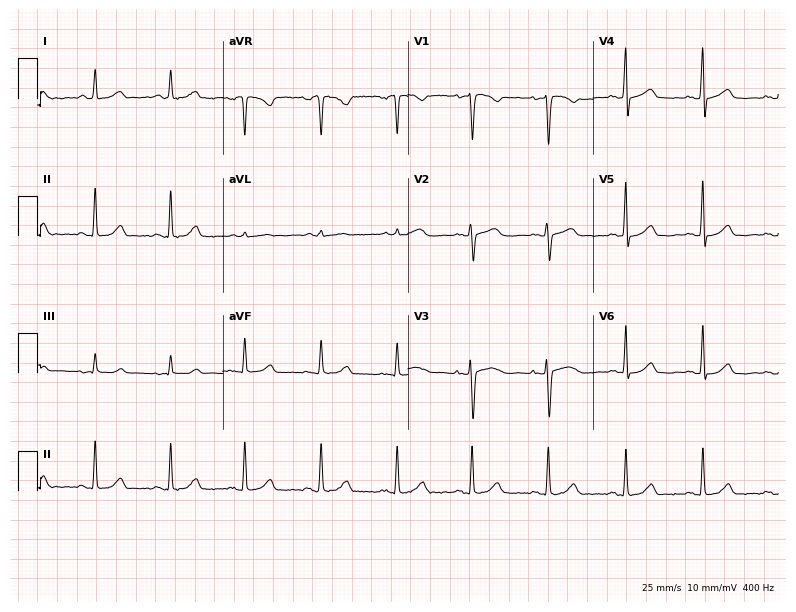
Electrocardiogram, a 32-year-old female. Overall reading on record: normal ECG.